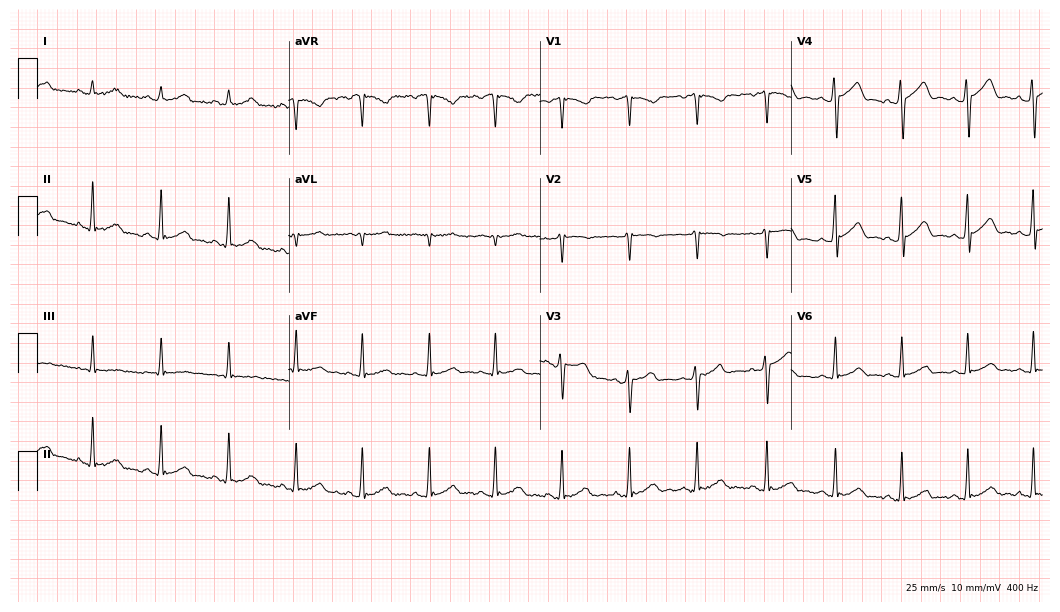
12-lead ECG from a male patient, 22 years old. Labelled as a normal ECG.